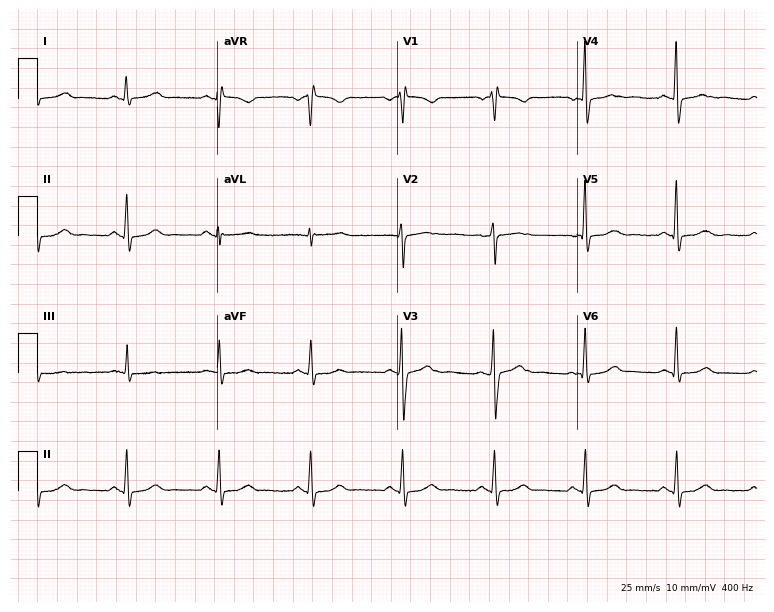
ECG (7.3-second recording at 400 Hz) — a 65-year-old female. Screened for six findings — first-degree AV block, right bundle branch block, left bundle branch block, sinus bradycardia, atrial fibrillation, sinus tachycardia — none is recorded. Other findings, if any, are not listed.